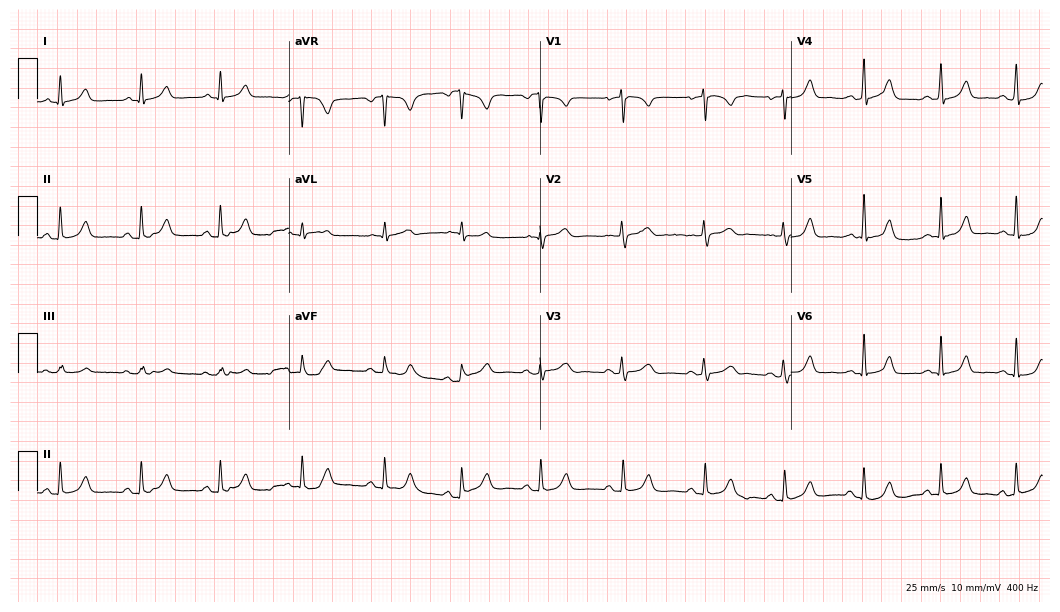
ECG — a female, 37 years old. Labelled as a normal ECG.